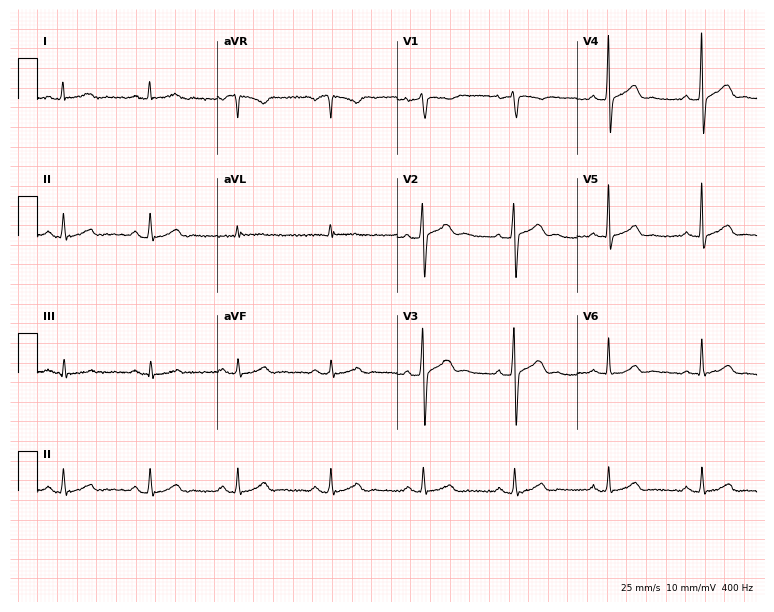
12-lead ECG from a 42-year-old male. Recorded interpretation: within normal limits.